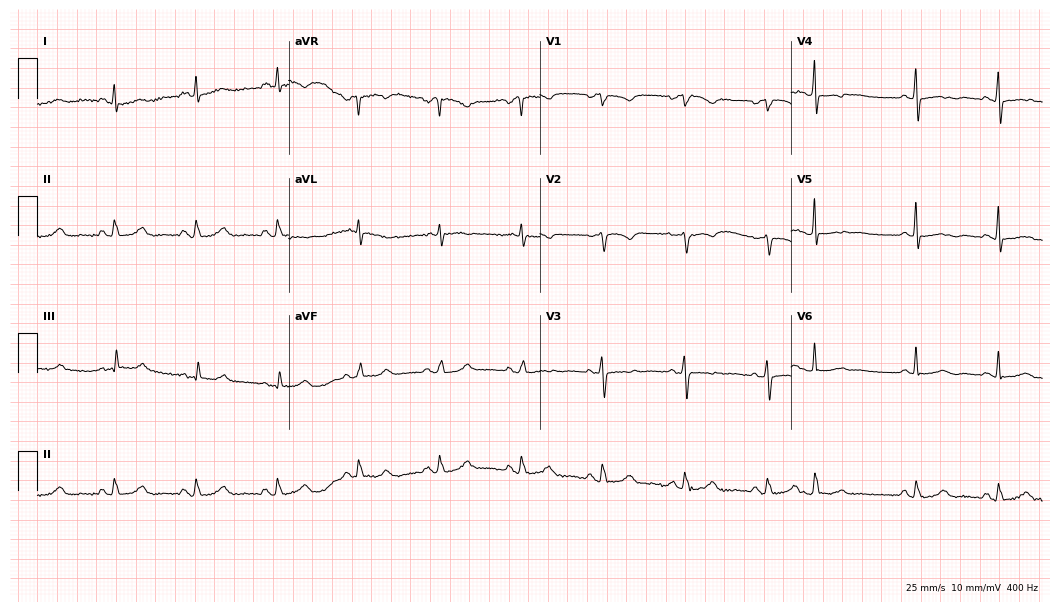
12-lead ECG from an 80-year-old female patient. Screened for six findings — first-degree AV block, right bundle branch block, left bundle branch block, sinus bradycardia, atrial fibrillation, sinus tachycardia — none is recorded. Findings outside these six are not listed.